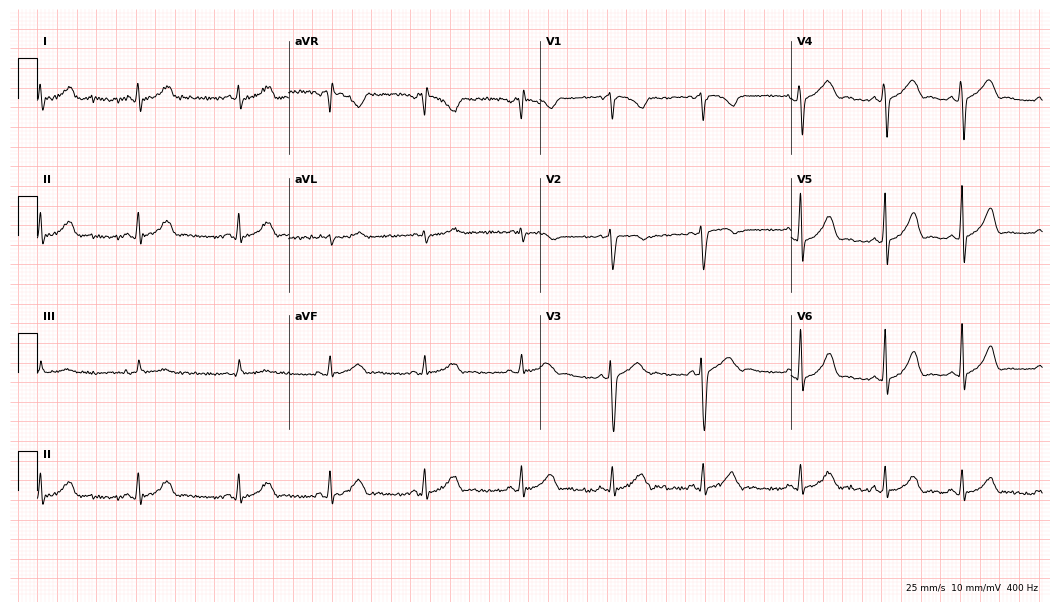
ECG (10.2-second recording at 400 Hz) — a female, 23 years old. Screened for six findings — first-degree AV block, right bundle branch block, left bundle branch block, sinus bradycardia, atrial fibrillation, sinus tachycardia — none is recorded.